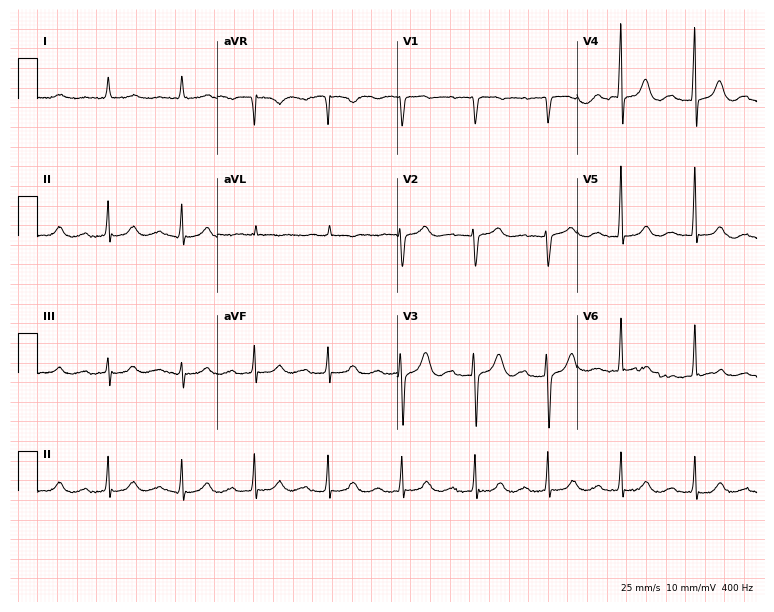
ECG (7.3-second recording at 400 Hz) — a female, 83 years old. Findings include first-degree AV block.